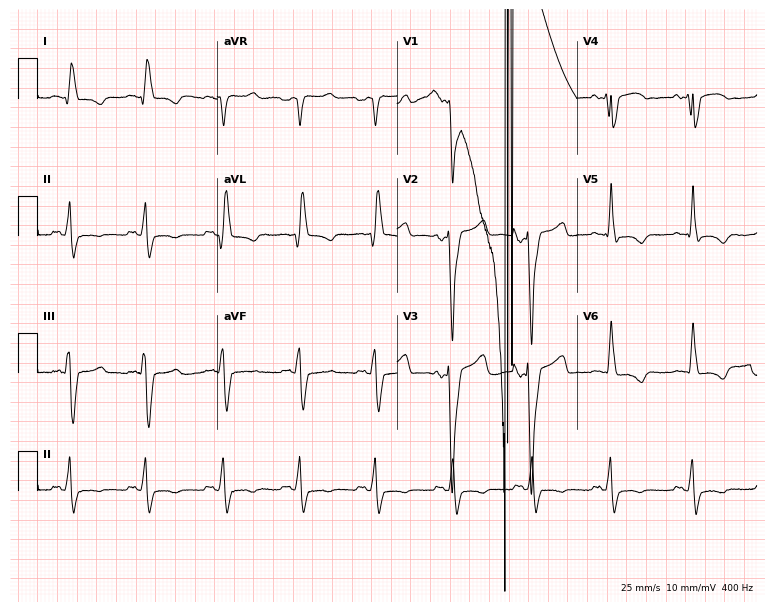
ECG (7.3-second recording at 400 Hz) — a 52-year-old male patient. Findings include left bundle branch block (LBBB).